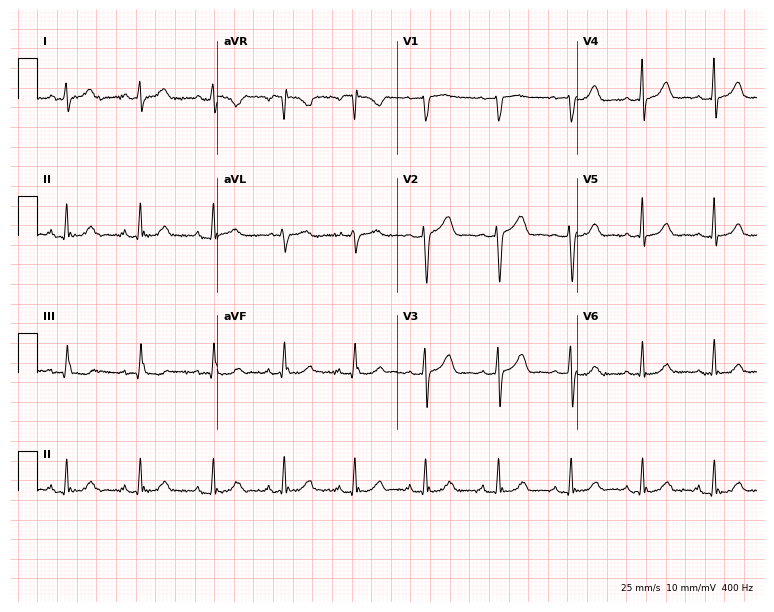
Standard 12-lead ECG recorded from a woman, 38 years old (7.3-second recording at 400 Hz). None of these six findings is recorded: first-degree AV block, right bundle branch block (RBBB), left bundle branch block (LBBB), sinus bradycardia, atrial fibrillation (AF), sinus tachycardia.